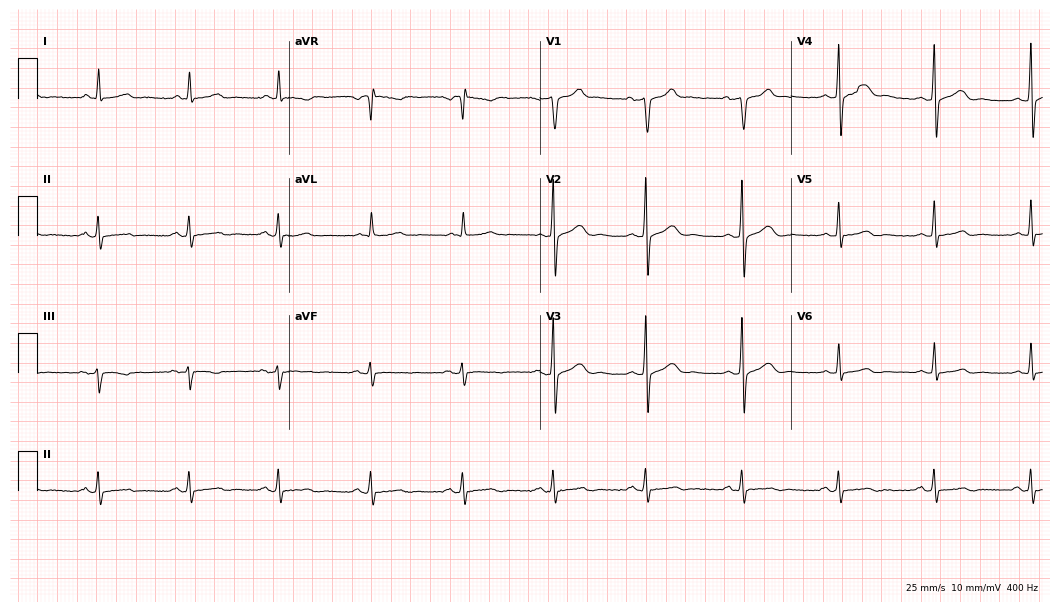
Resting 12-lead electrocardiogram. Patient: a male, 45 years old. Read as a normal ECG.